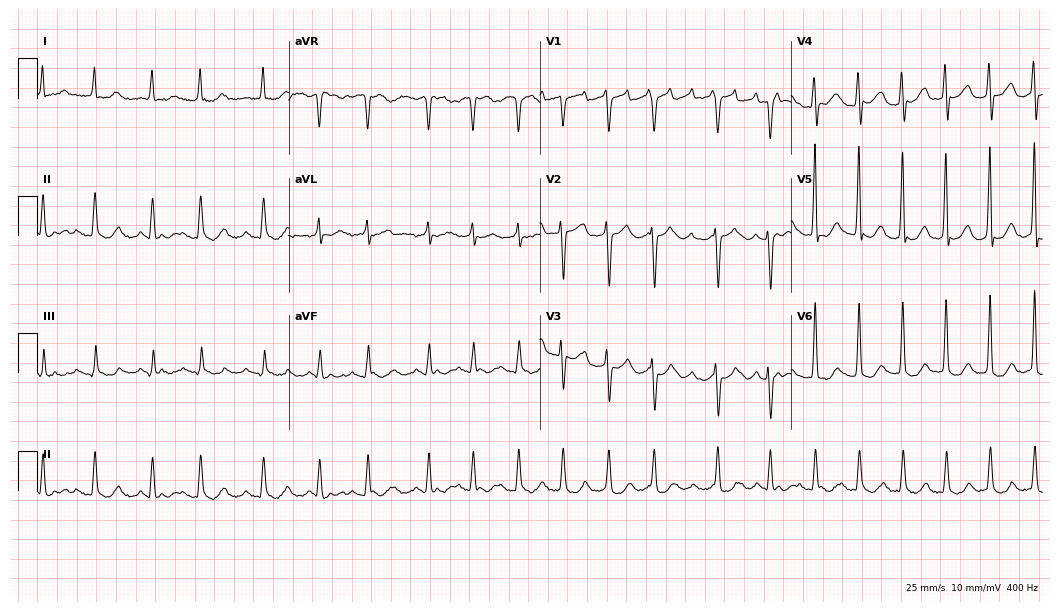
ECG — a male patient, 69 years old. Findings include atrial fibrillation (AF).